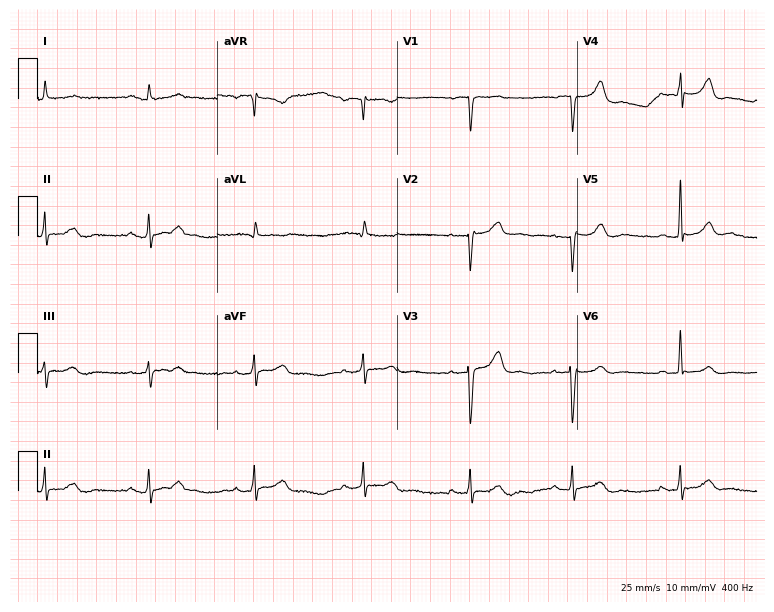
Resting 12-lead electrocardiogram. Patient: a 59-year-old male. Read as a normal ECG.